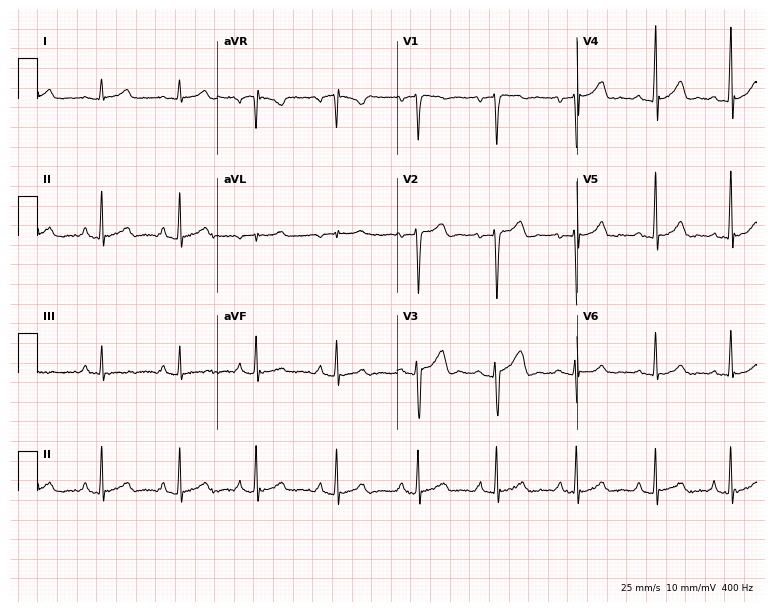
ECG (7.3-second recording at 400 Hz) — a man, 24 years old. Labelled as a normal ECG.